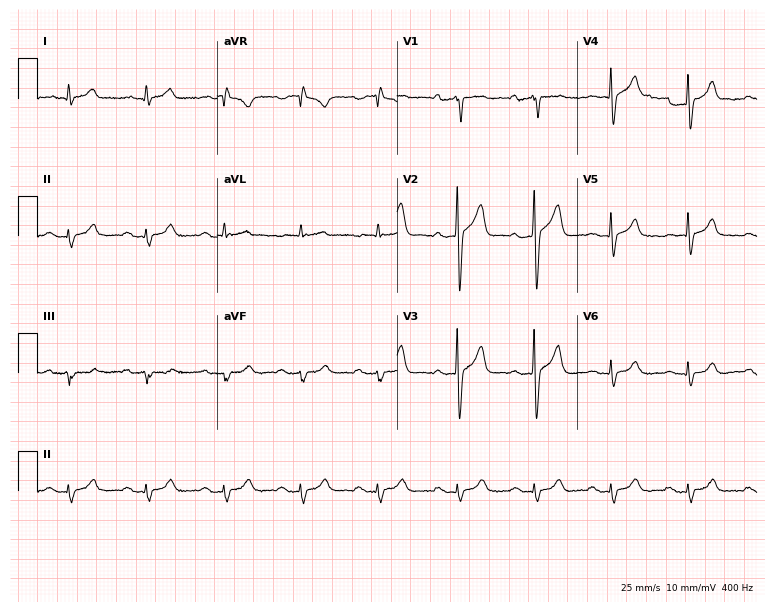
Resting 12-lead electrocardiogram. Patient: a man, 65 years old. Read as a normal ECG.